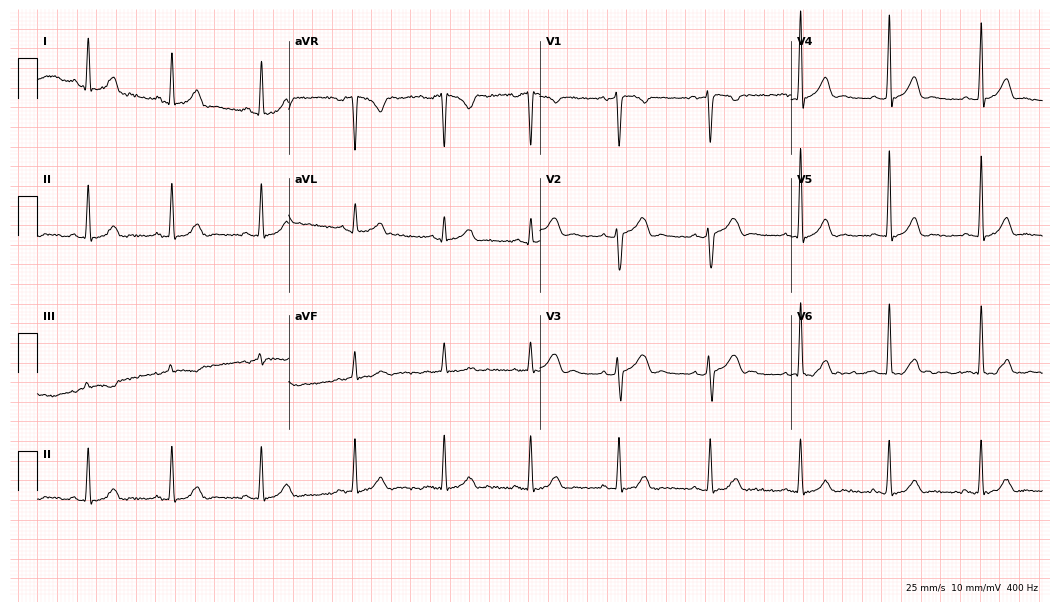
ECG — a 30-year-old female patient. Labelled as a normal ECG.